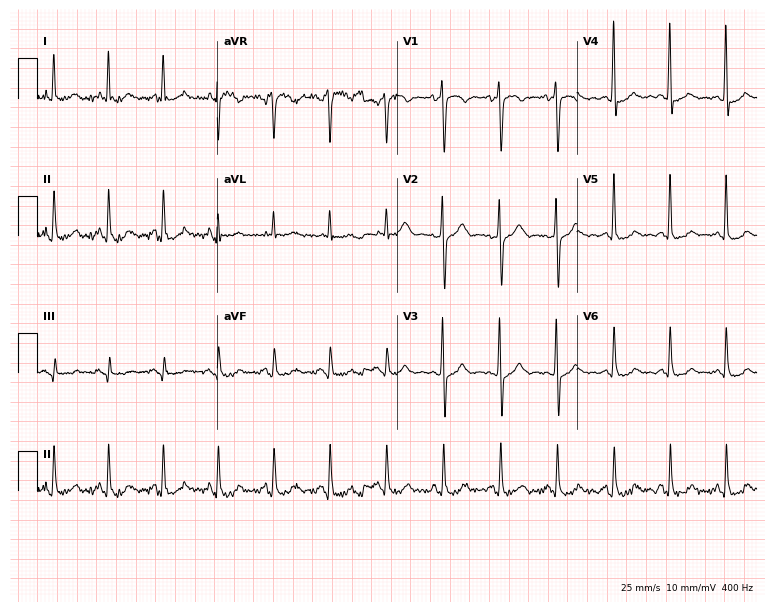
Standard 12-lead ECG recorded from a 51-year-old female patient. The tracing shows sinus tachycardia (a sinus rate of 100 beats per minute or more).